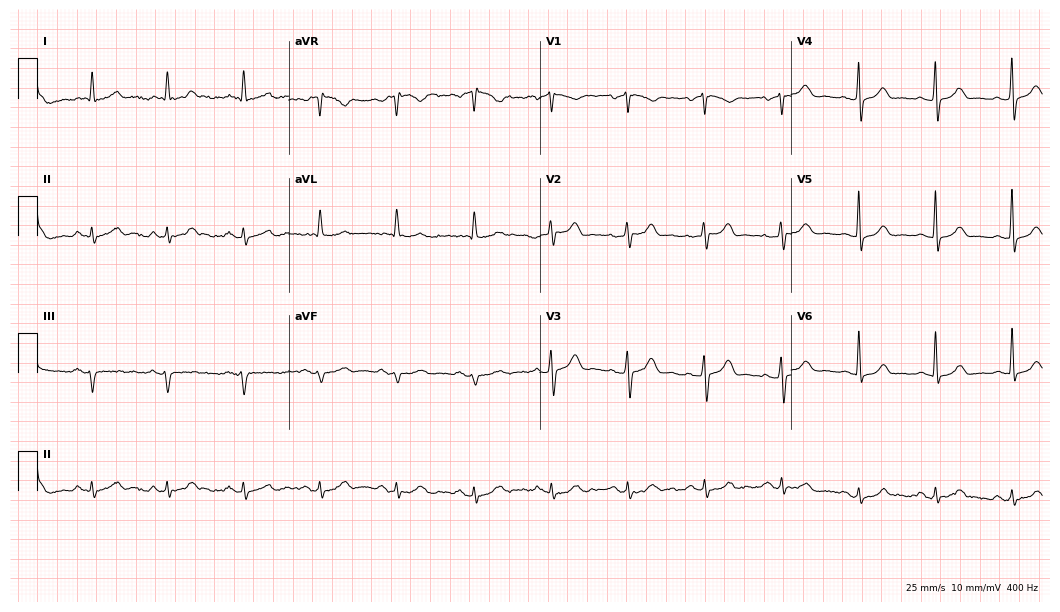
ECG (10.2-second recording at 400 Hz) — a 59-year-old man. Labelled as a normal ECG.